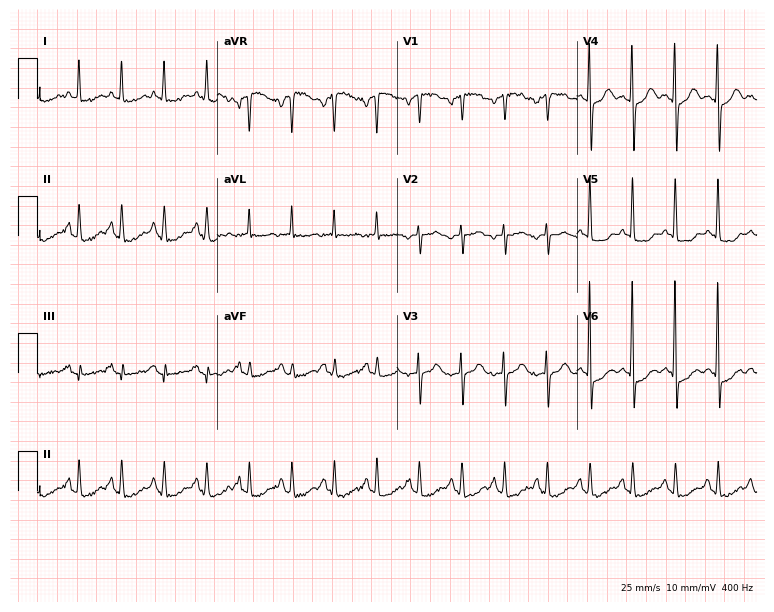
Standard 12-lead ECG recorded from a female patient, 72 years old (7.3-second recording at 400 Hz). None of these six findings is recorded: first-degree AV block, right bundle branch block (RBBB), left bundle branch block (LBBB), sinus bradycardia, atrial fibrillation (AF), sinus tachycardia.